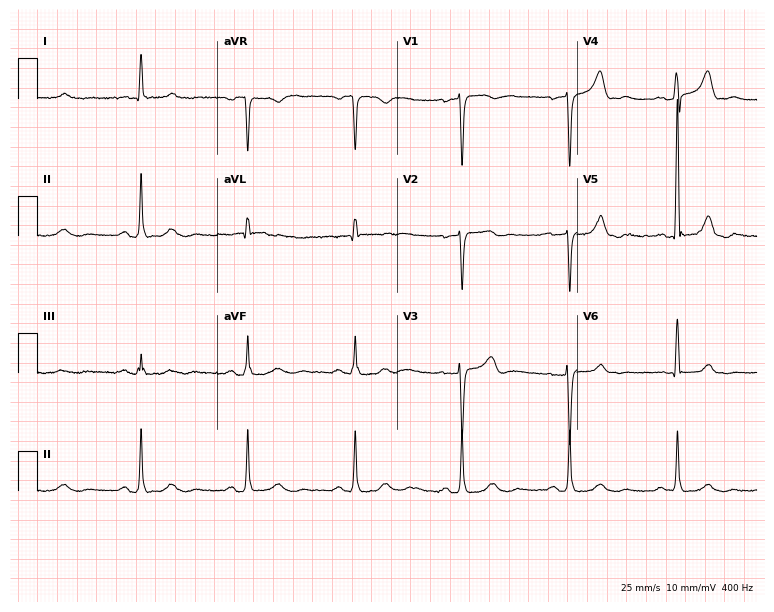
12-lead ECG from a 65-year-old male (7.3-second recording at 400 Hz). No first-degree AV block, right bundle branch block, left bundle branch block, sinus bradycardia, atrial fibrillation or sinus tachycardia recorded for this tracing.